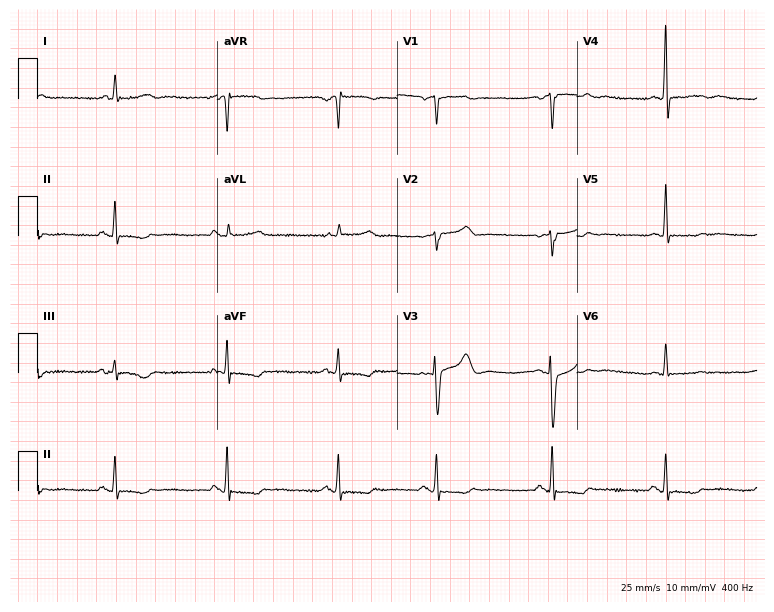
Resting 12-lead electrocardiogram (7.3-second recording at 400 Hz). Patient: a woman, 76 years old. None of these six findings is recorded: first-degree AV block, right bundle branch block (RBBB), left bundle branch block (LBBB), sinus bradycardia, atrial fibrillation (AF), sinus tachycardia.